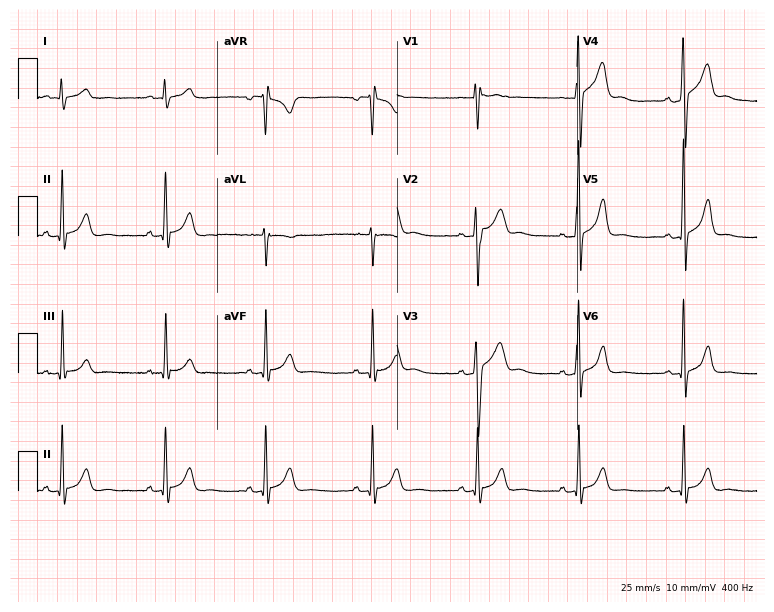
Standard 12-lead ECG recorded from an 18-year-old male patient (7.3-second recording at 400 Hz). Read as a normal ECG.